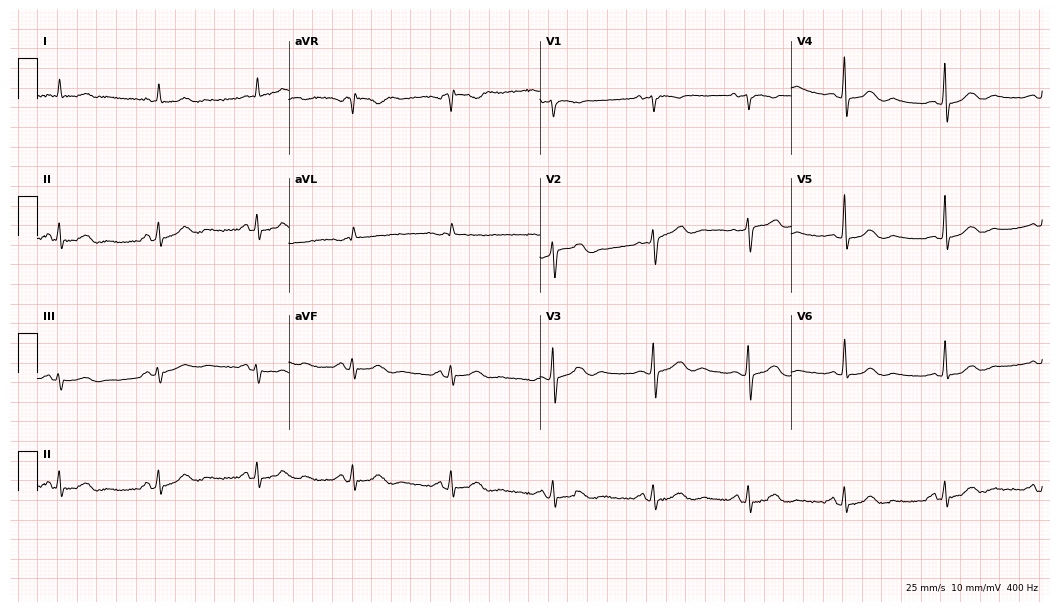
12-lead ECG from a male patient, 80 years old. Recorded interpretation: within normal limits.